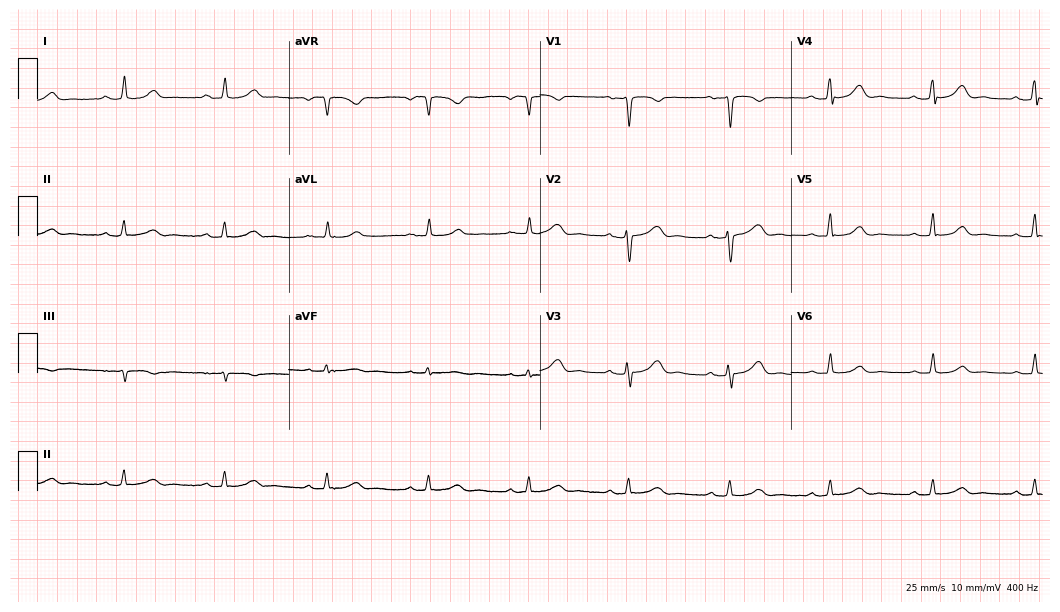
Standard 12-lead ECG recorded from a 40-year-old woman. Read as a normal ECG.